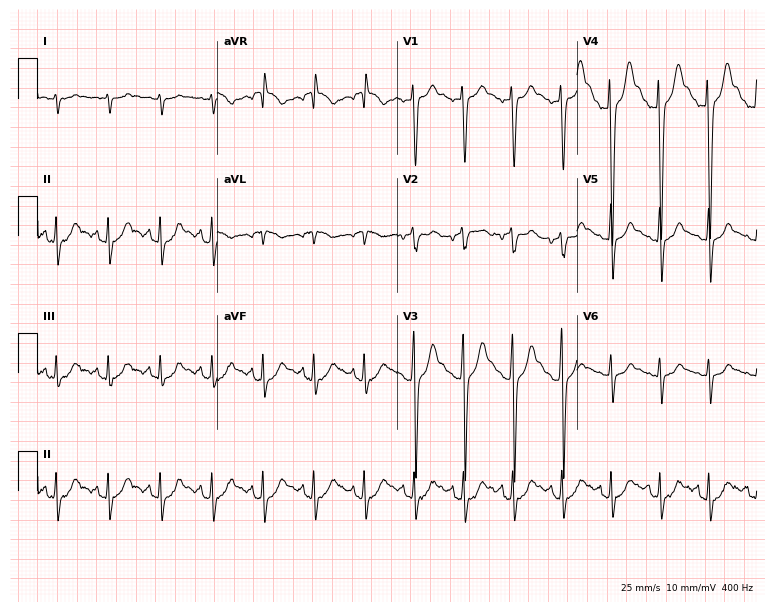
Standard 12-lead ECG recorded from a man, 25 years old (7.3-second recording at 400 Hz). The tracing shows sinus tachycardia (a sinus rate of 100 beats per minute or more).